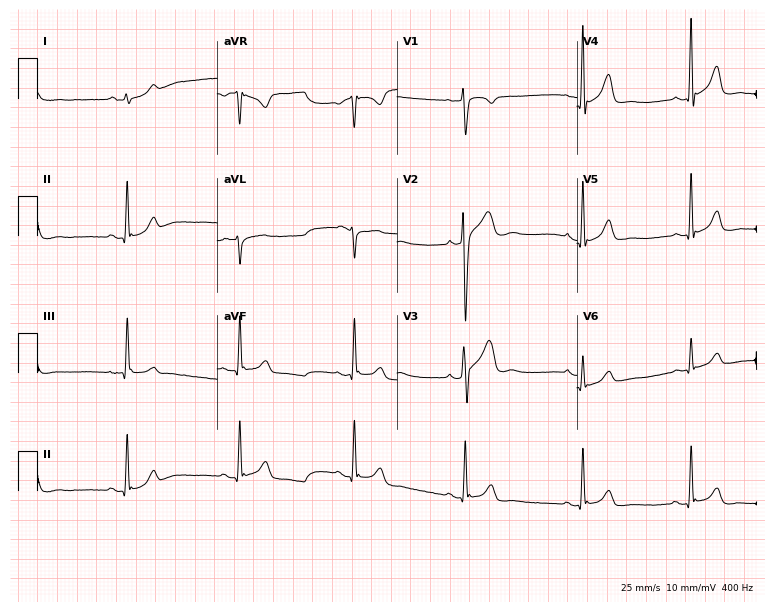
ECG (7.3-second recording at 400 Hz) — a male patient, 25 years old. Screened for six findings — first-degree AV block, right bundle branch block, left bundle branch block, sinus bradycardia, atrial fibrillation, sinus tachycardia — none is recorded. Only these six findings were labelled.